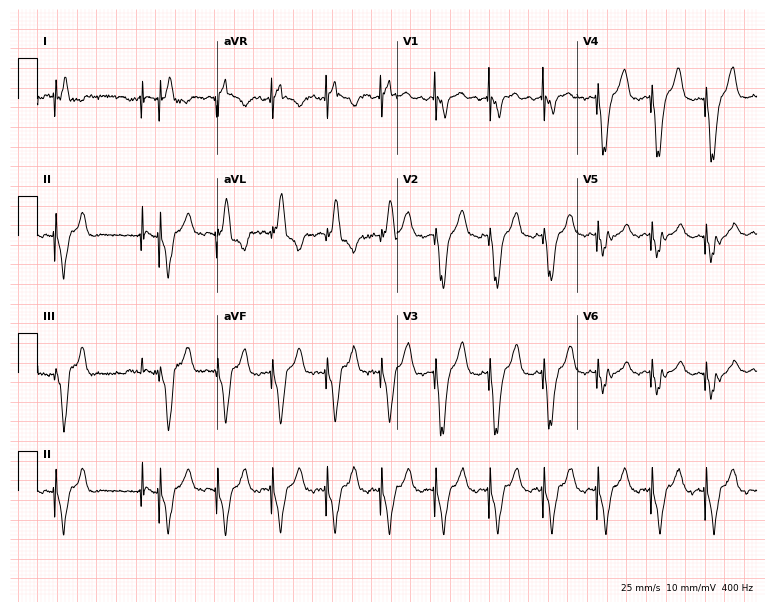
12-lead ECG from a man, 76 years old (7.3-second recording at 400 Hz). No first-degree AV block, right bundle branch block, left bundle branch block, sinus bradycardia, atrial fibrillation or sinus tachycardia recorded for this tracing. Only these six findings were labelled.